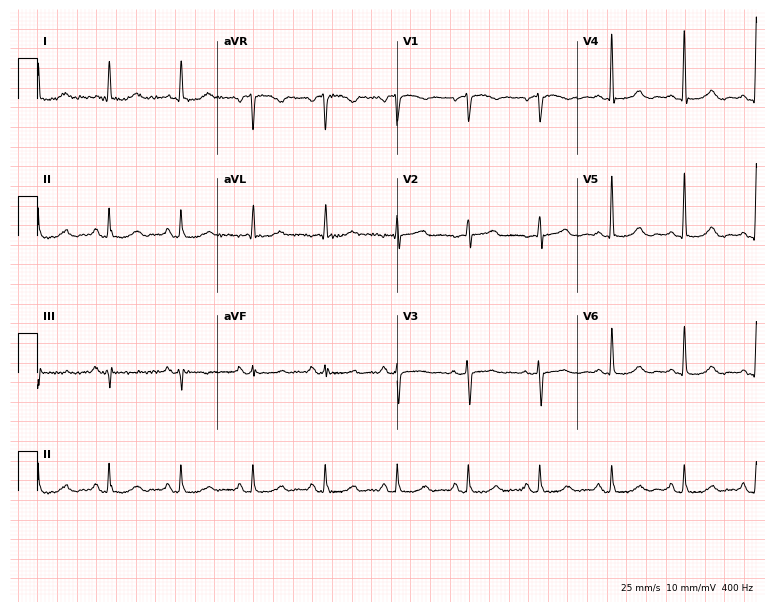
Standard 12-lead ECG recorded from a 74-year-old female. Read as a normal ECG.